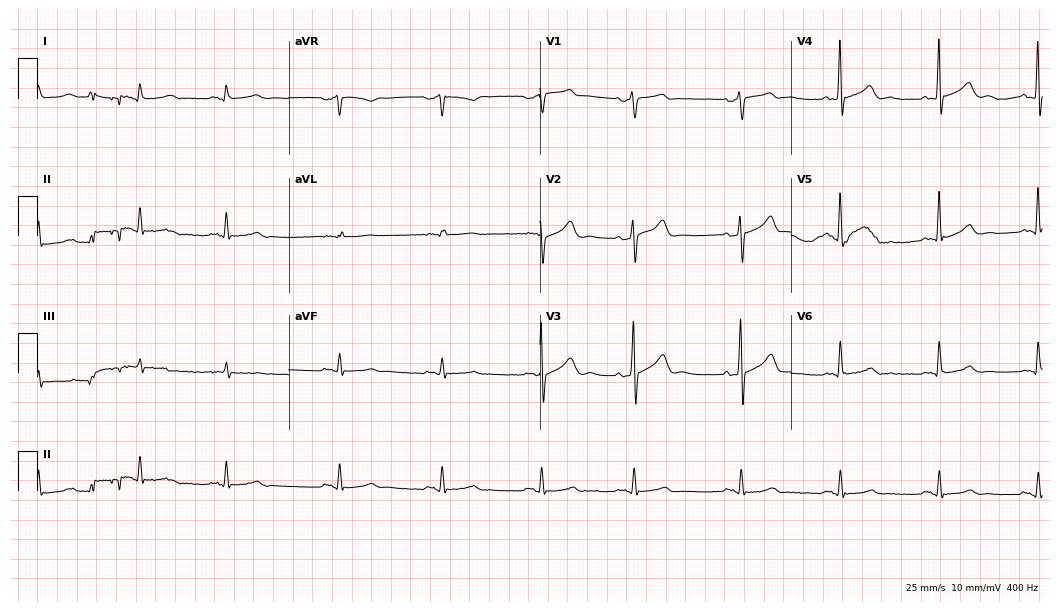
Electrocardiogram (10.2-second recording at 400 Hz), a male patient, 71 years old. Of the six screened findings (first-degree AV block, right bundle branch block, left bundle branch block, sinus bradycardia, atrial fibrillation, sinus tachycardia), none is recorded.